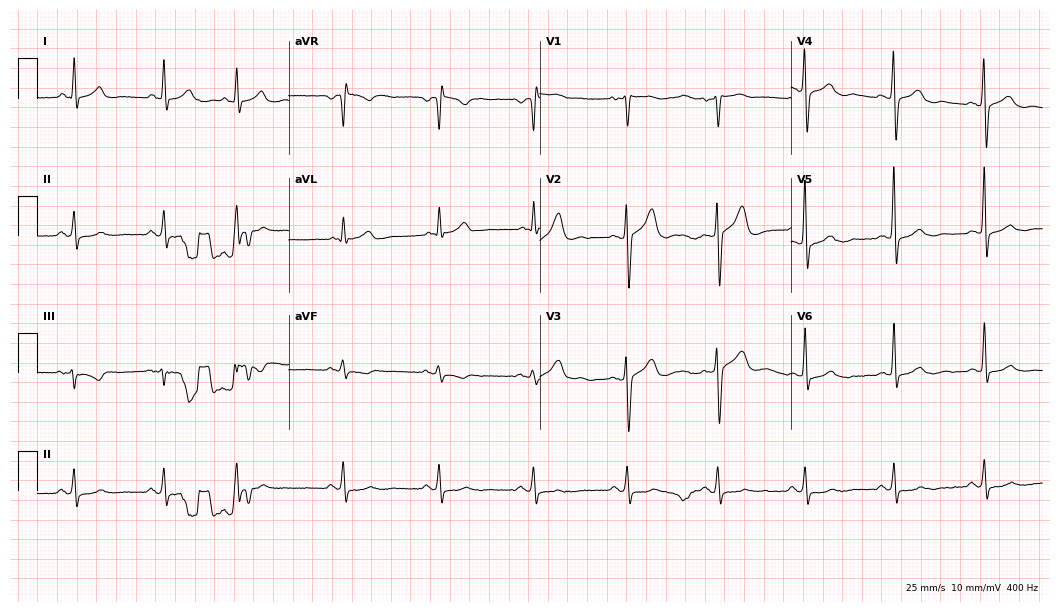
12-lead ECG from a 58-year-old male patient. No first-degree AV block, right bundle branch block (RBBB), left bundle branch block (LBBB), sinus bradycardia, atrial fibrillation (AF) or sinus tachycardia recorded for this tracing. Other findings, if any, are not listed.